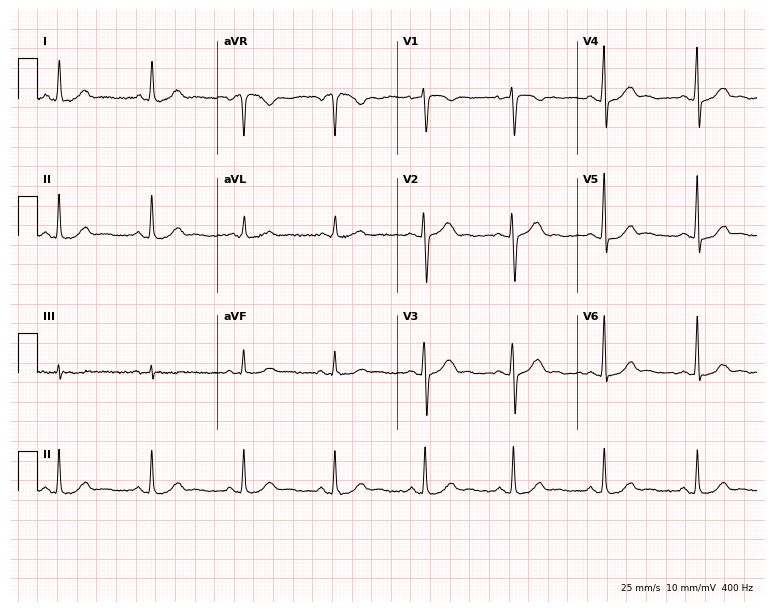
12-lead ECG from a 44-year-old female (7.3-second recording at 400 Hz). Recorded interpretation: within normal limits.